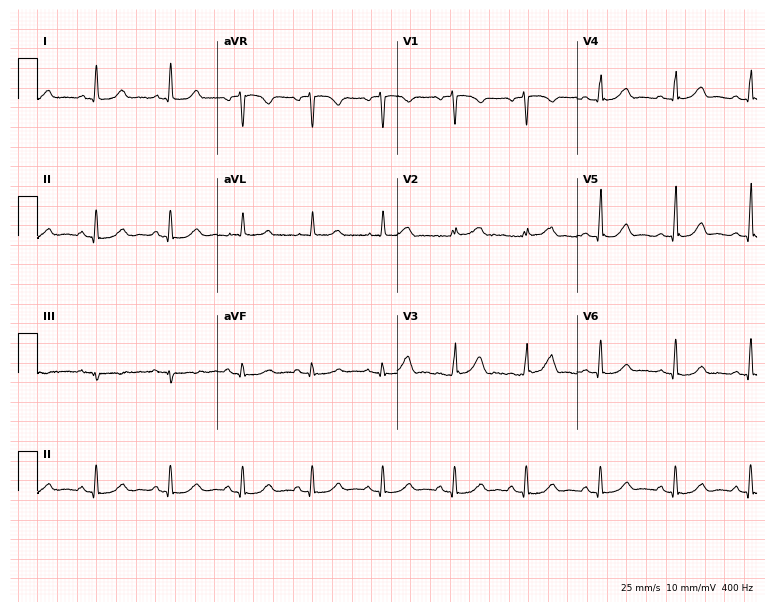
ECG — a 55-year-old woman. Labelled as a normal ECG.